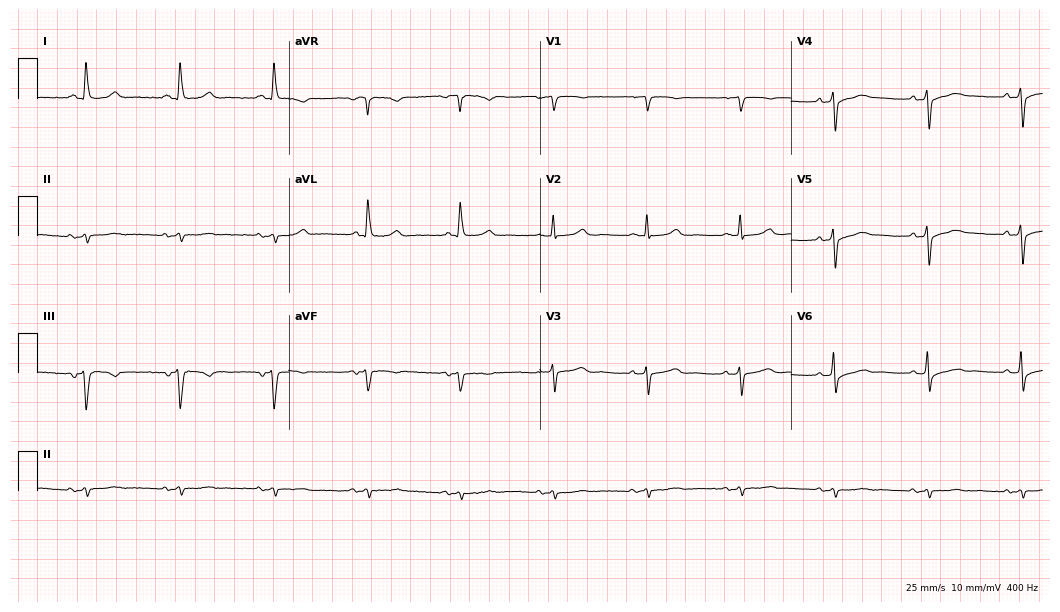
Electrocardiogram (10.2-second recording at 400 Hz), a female, 81 years old. Of the six screened findings (first-degree AV block, right bundle branch block, left bundle branch block, sinus bradycardia, atrial fibrillation, sinus tachycardia), none is recorded. Findings outside these six are not listed.